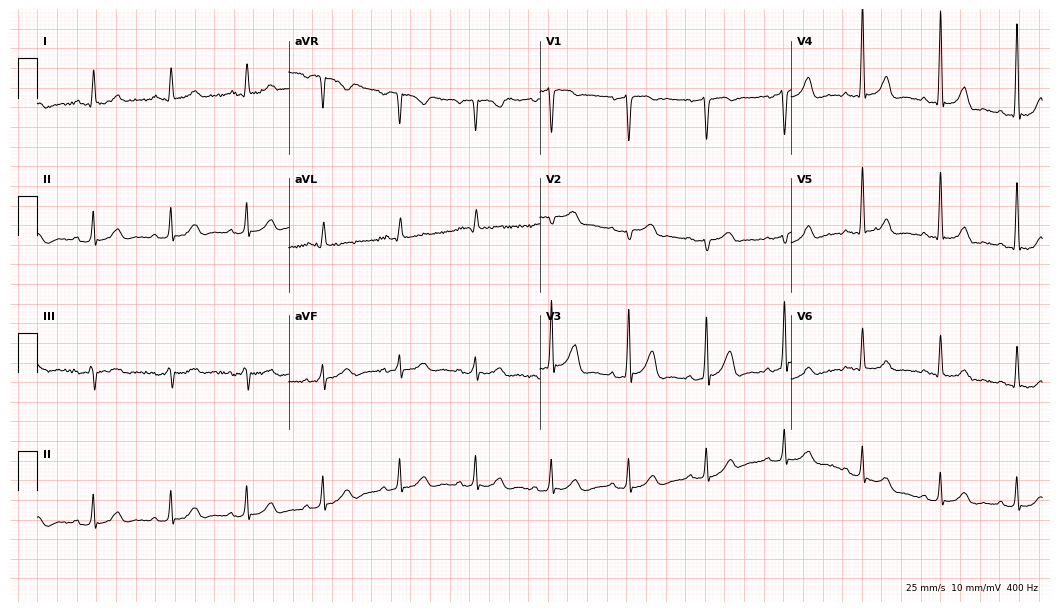
12-lead ECG from a 57-year-old male patient. Screened for six findings — first-degree AV block, right bundle branch block, left bundle branch block, sinus bradycardia, atrial fibrillation, sinus tachycardia — none is recorded.